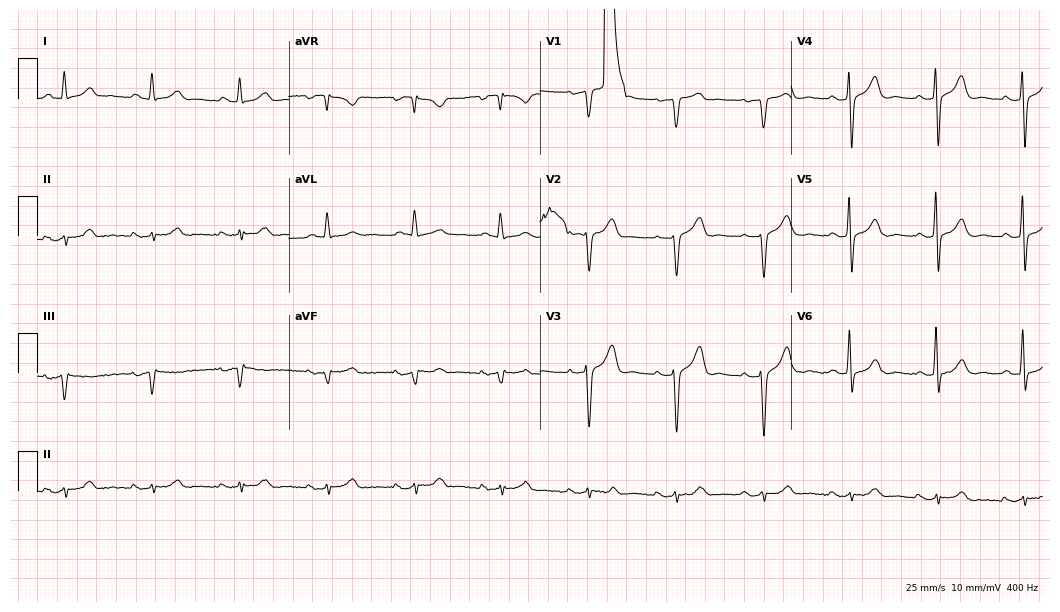
12-lead ECG from a 73-year-old man. No first-degree AV block, right bundle branch block, left bundle branch block, sinus bradycardia, atrial fibrillation or sinus tachycardia recorded for this tracing.